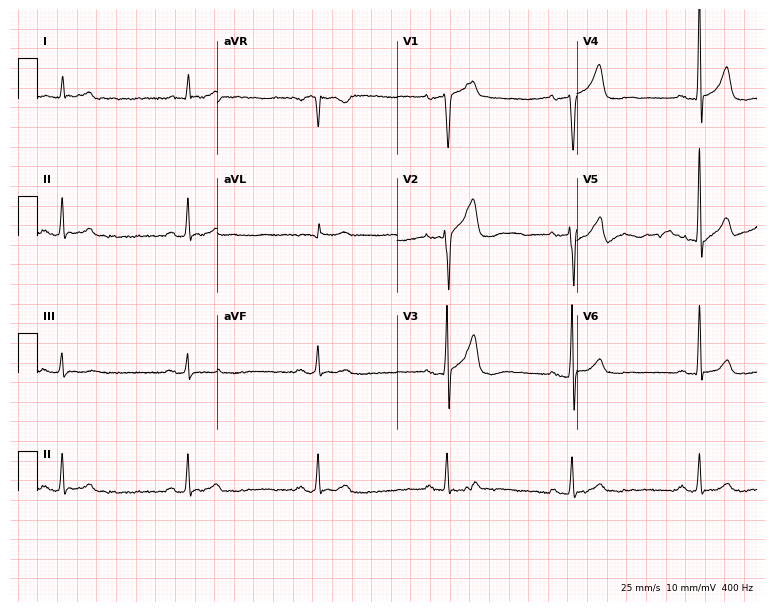
12-lead ECG from a 67-year-old male. Shows sinus bradycardia (a sinus rate of 50 beats per minute or less).